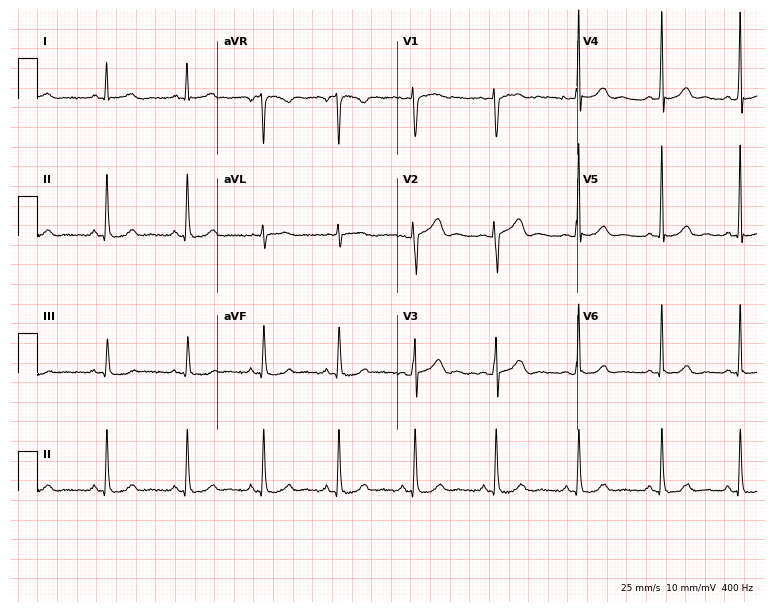
Standard 12-lead ECG recorded from a woman, 36 years old. Read as a normal ECG.